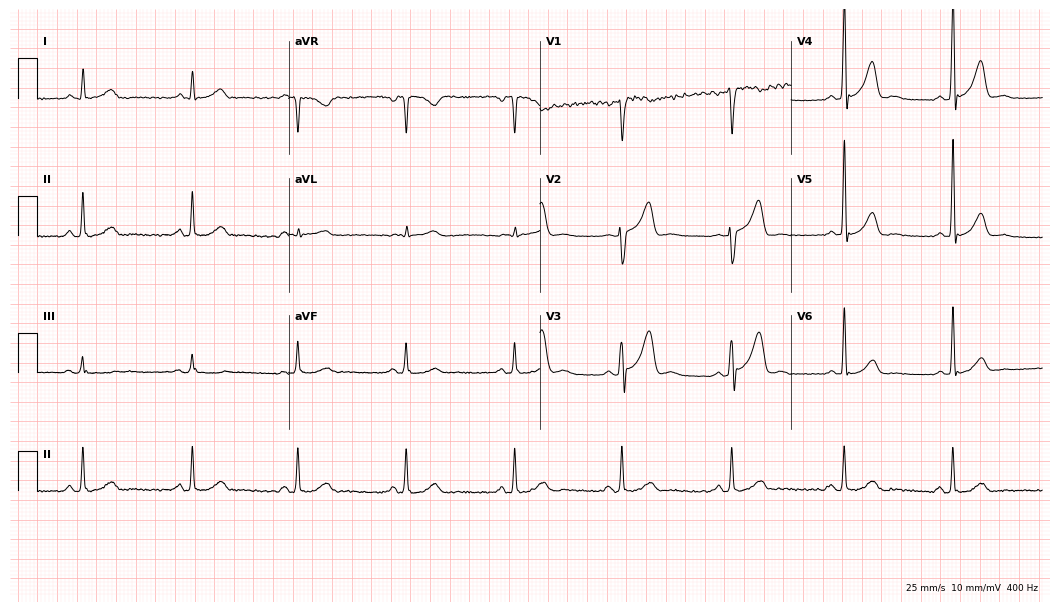
Resting 12-lead electrocardiogram. Patient: a 59-year-old man. Read as a normal ECG.